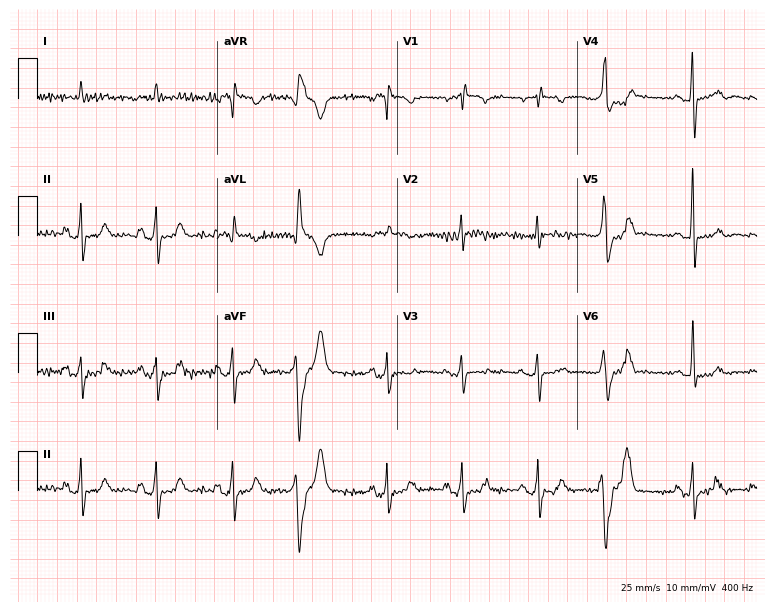
Standard 12-lead ECG recorded from a 78-year-old male patient (7.3-second recording at 400 Hz). None of these six findings is recorded: first-degree AV block, right bundle branch block, left bundle branch block, sinus bradycardia, atrial fibrillation, sinus tachycardia.